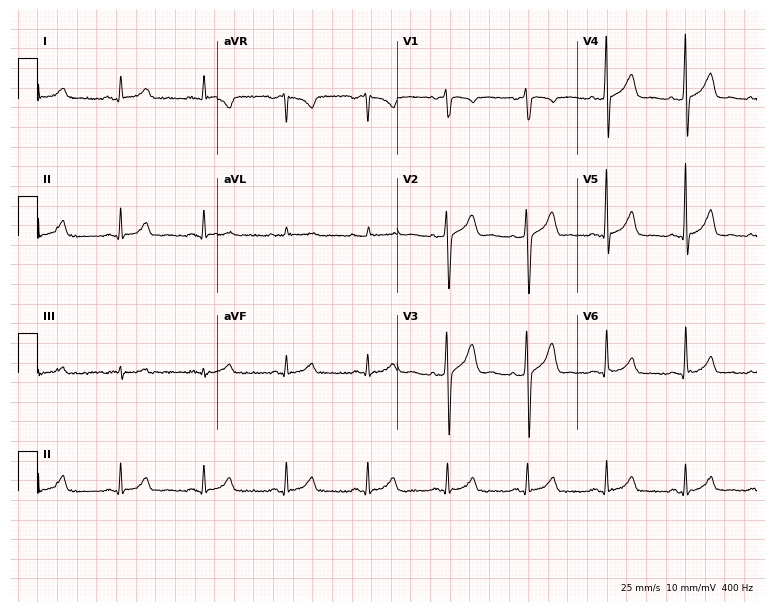
Electrocardiogram (7.3-second recording at 400 Hz), a man, 45 years old. Overall reading on record: normal ECG.